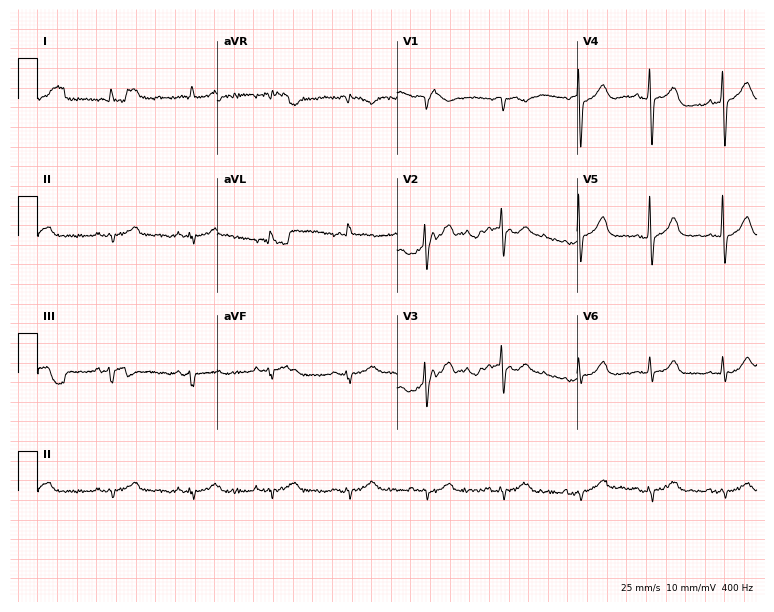
Resting 12-lead electrocardiogram (7.3-second recording at 400 Hz). Patient: a male, 73 years old. None of these six findings is recorded: first-degree AV block, right bundle branch block, left bundle branch block, sinus bradycardia, atrial fibrillation, sinus tachycardia.